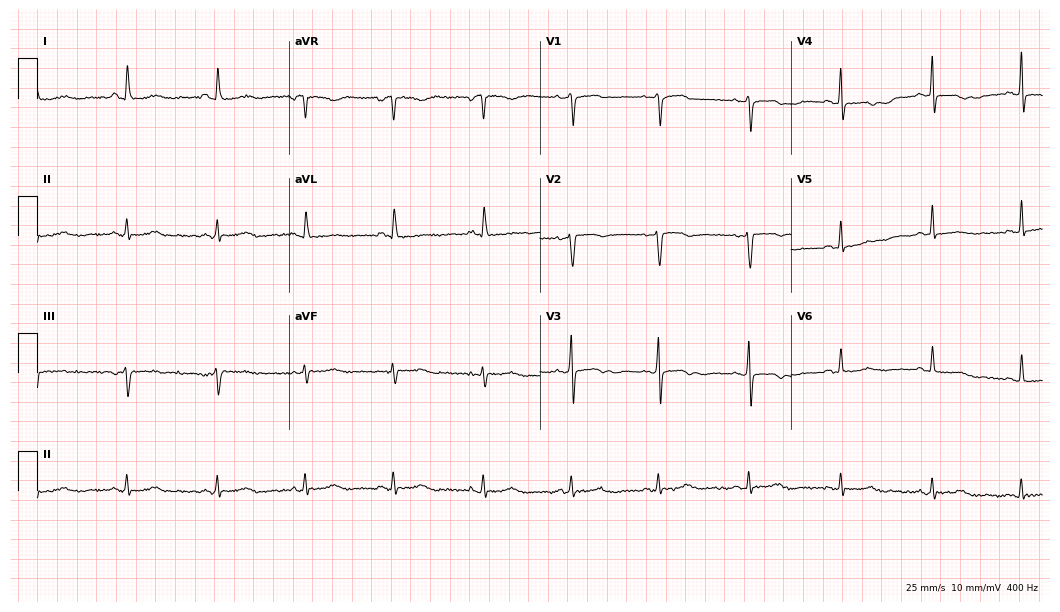
Resting 12-lead electrocardiogram. Patient: a woman, 56 years old. None of these six findings is recorded: first-degree AV block, right bundle branch block, left bundle branch block, sinus bradycardia, atrial fibrillation, sinus tachycardia. Other findings, if any, are not listed.